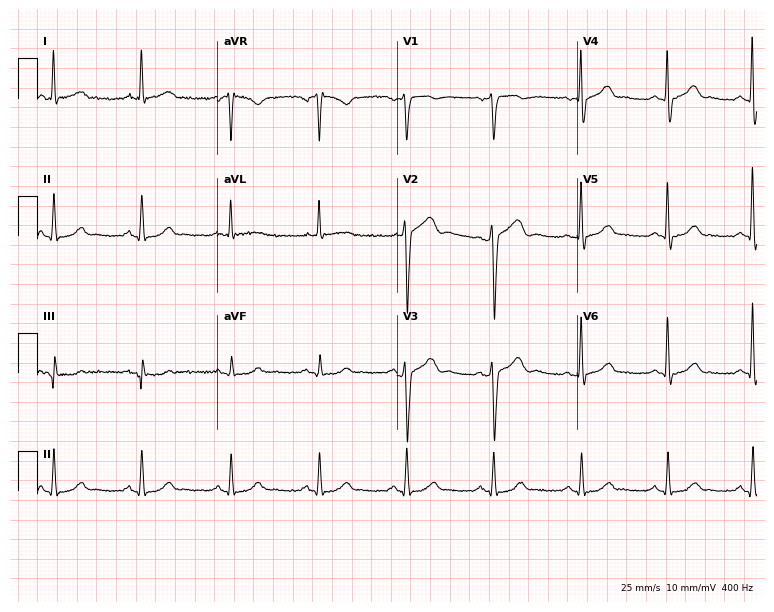
Standard 12-lead ECG recorded from a woman, 57 years old. Read as a normal ECG.